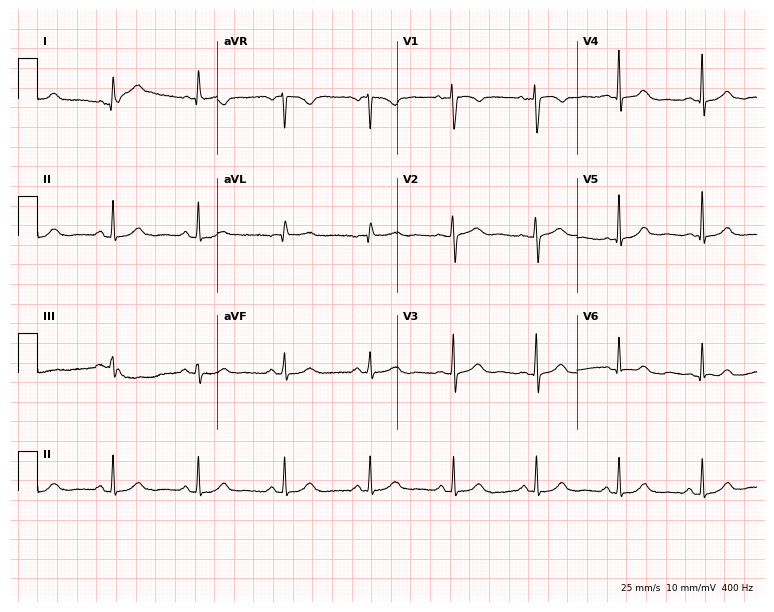
12-lead ECG from a 54-year-old woman. No first-degree AV block, right bundle branch block (RBBB), left bundle branch block (LBBB), sinus bradycardia, atrial fibrillation (AF) or sinus tachycardia recorded for this tracing. Findings outside these six are not listed.